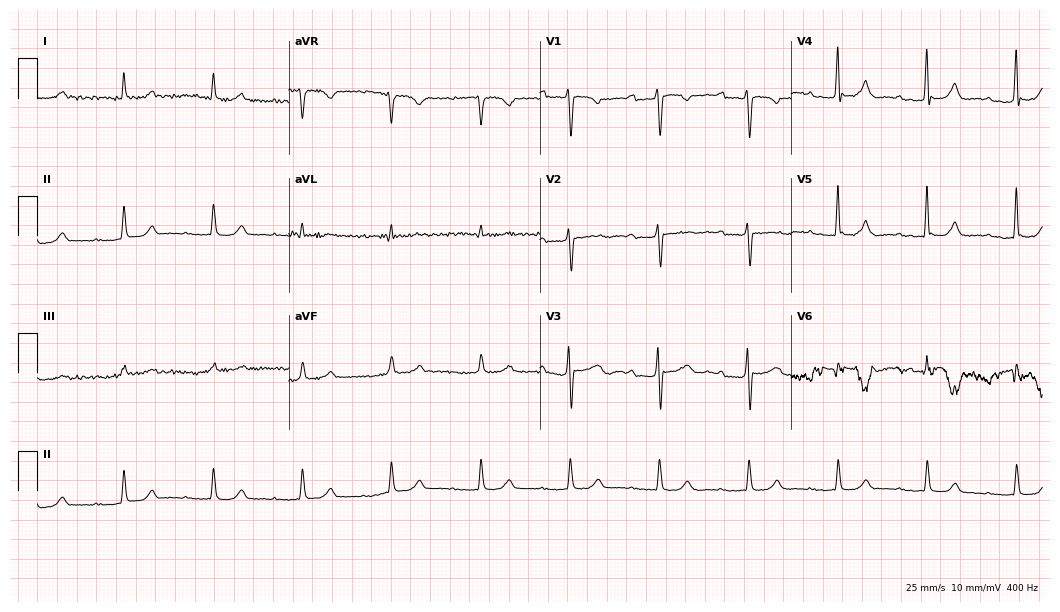
Electrocardiogram, a female, 46 years old. Interpretation includes first-degree AV block.